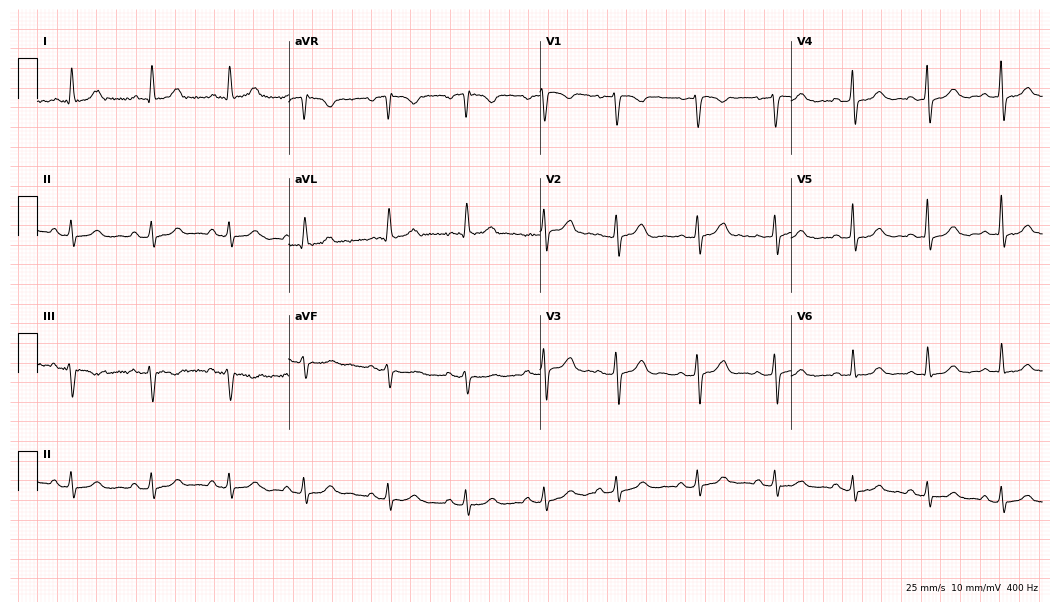
Electrocardiogram, a 60-year-old female patient. Overall reading on record: normal ECG.